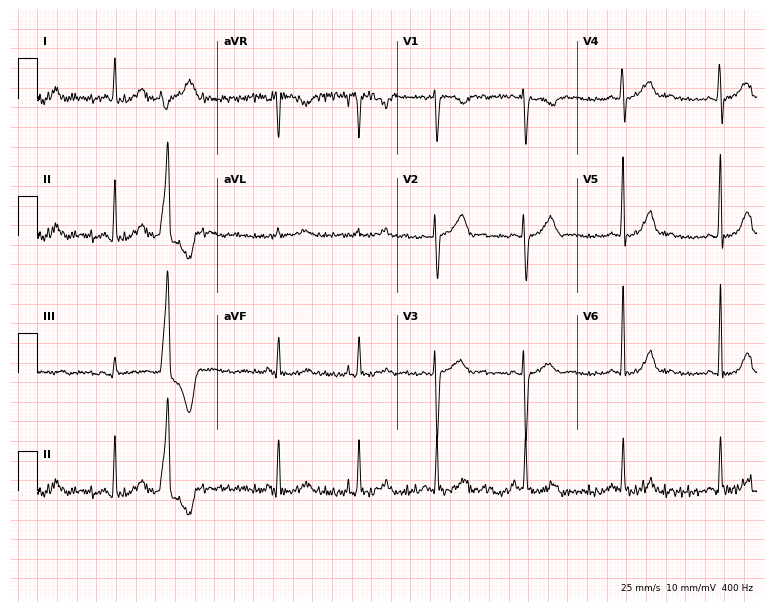
ECG — a female, 41 years old. Screened for six findings — first-degree AV block, right bundle branch block, left bundle branch block, sinus bradycardia, atrial fibrillation, sinus tachycardia — none is recorded.